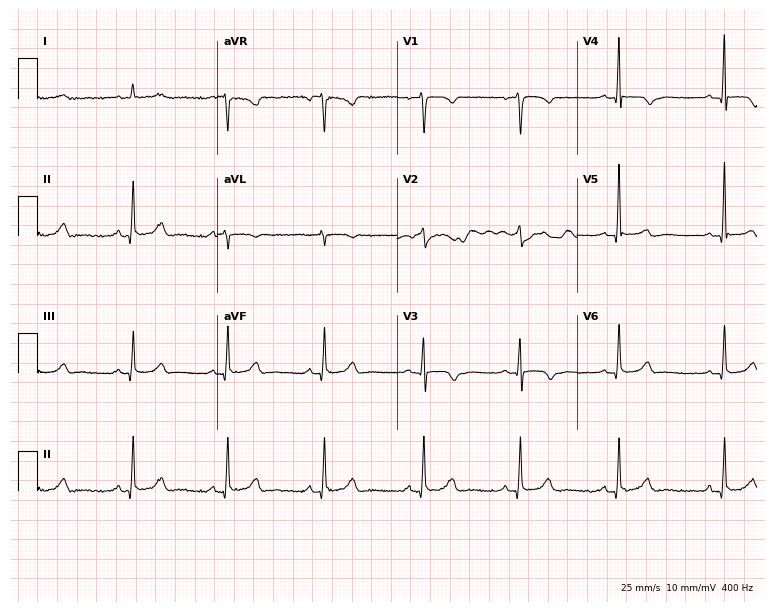
Resting 12-lead electrocardiogram (7.3-second recording at 400 Hz). Patient: a 62-year-old female. Read as a normal ECG.